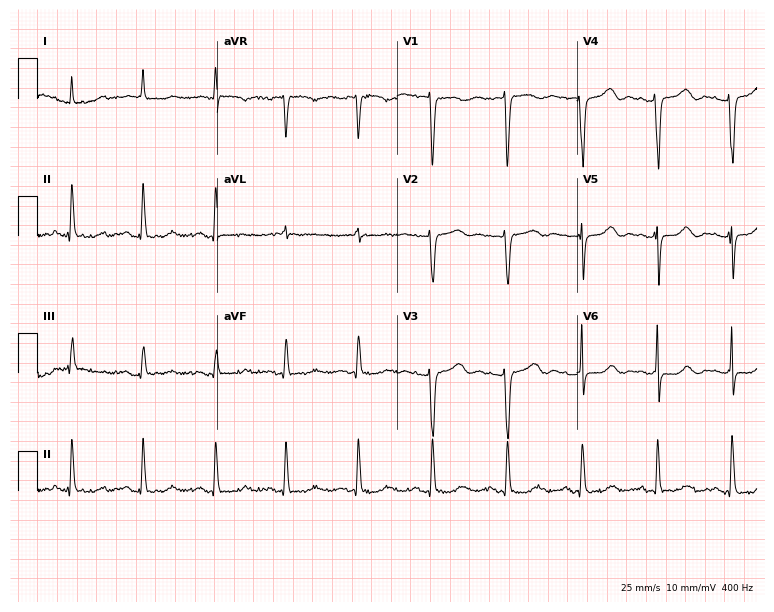
ECG (7.3-second recording at 400 Hz) — a female, 84 years old. Screened for six findings — first-degree AV block, right bundle branch block, left bundle branch block, sinus bradycardia, atrial fibrillation, sinus tachycardia — none is recorded.